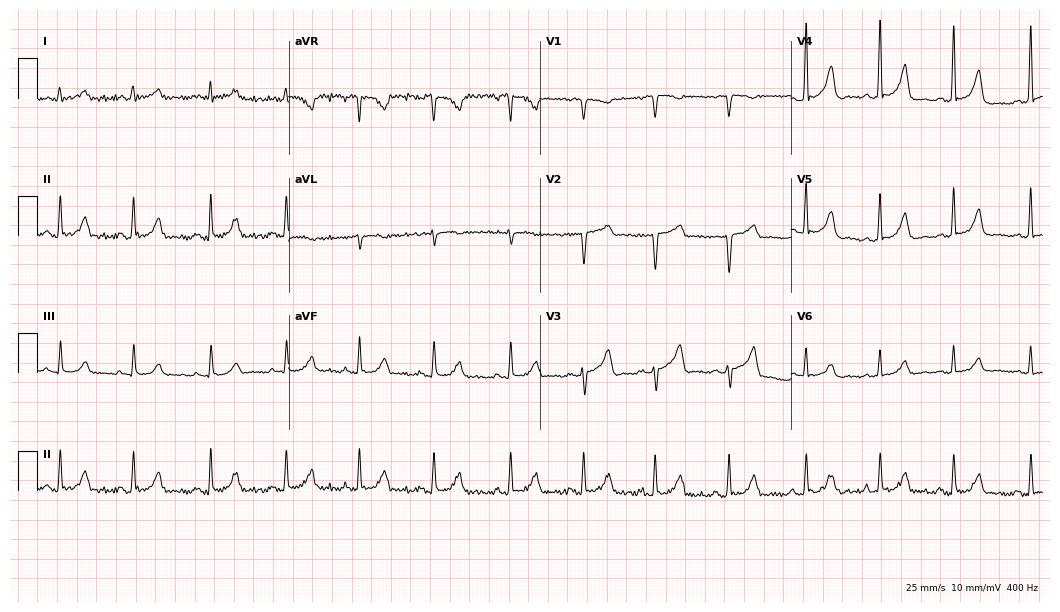
Resting 12-lead electrocardiogram. Patient: a female, 36 years old. Read as a normal ECG.